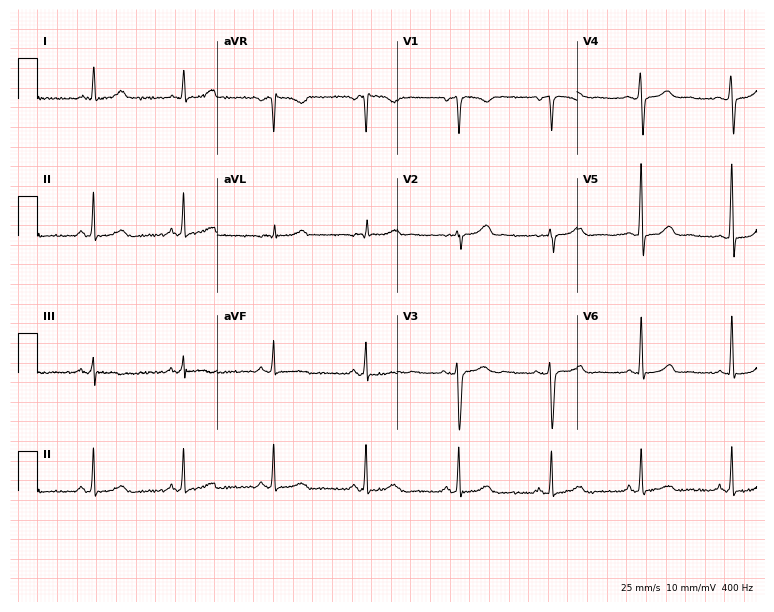
Electrocardiogram, a 52-year-old female patient. Overall reading on record: normal ECG.